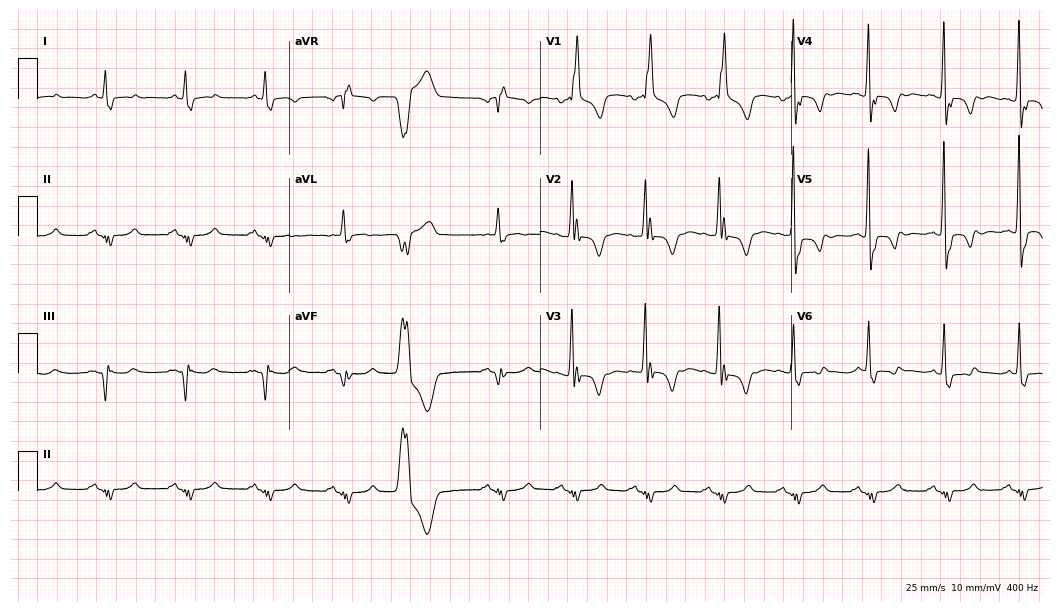
12-lead ECG from a 60-year-old male patient (10.2-second recording at 400 Hz). No first-degree AV block, right bundle branch block, left bundle branch block, sinus bradycardia, atrial fibrillation or sinus tachycardia recorded for this tracing.